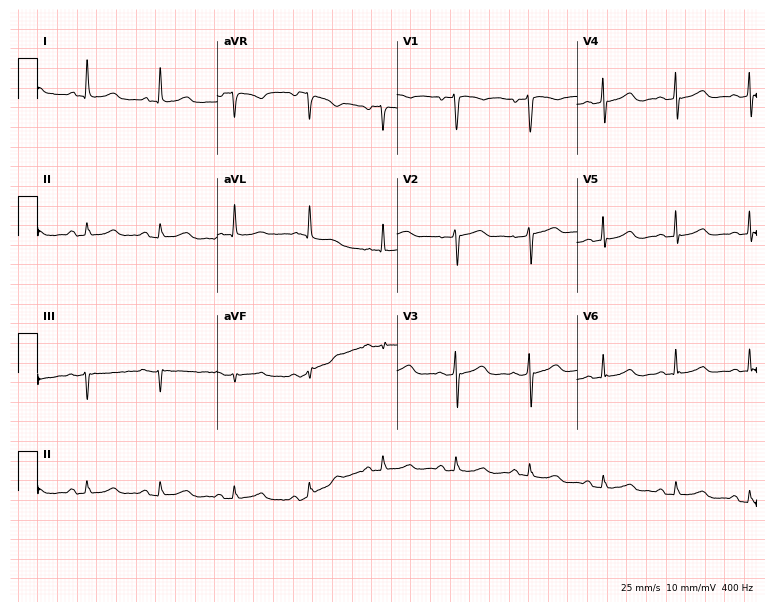
Electrocardiogram, a 61-year-old female. Of the six screened findings (first-degree AV block, right bundle branch block, left bundle branch block, sinus bradycardia, atrial fibrillation, sinus tachycardia), none is recorded.